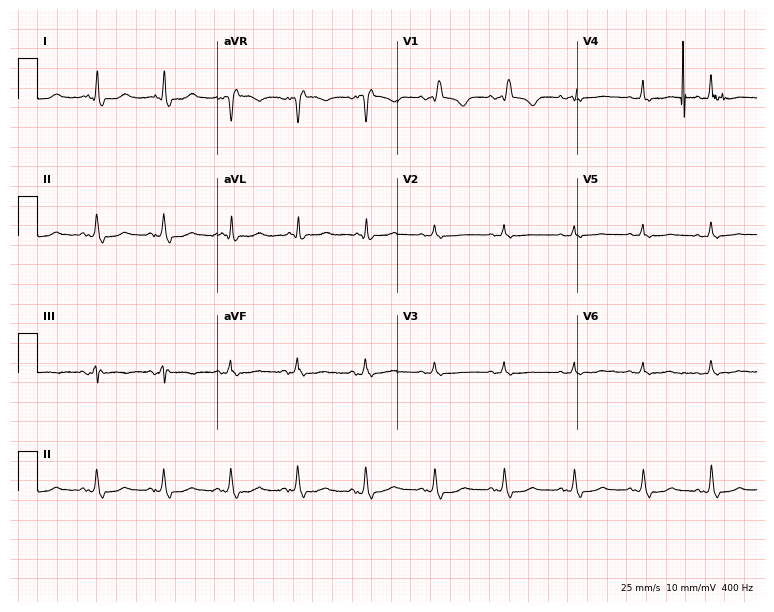
Resting 12-lead electrocardiogram. Patient: a male, 70 years old. None of these six findings is recorded: first-degree AV block, right bundle branch block (RBBB), left bundle branch block (LBBB), sinus bradycardia, atrial fibrillation (AF), sinus tachycardia.